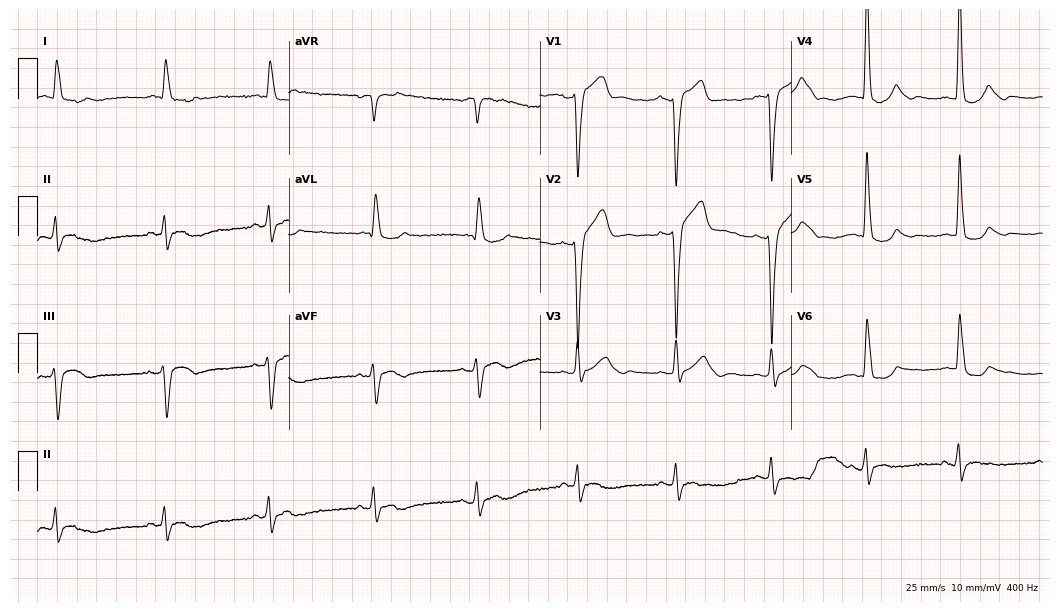
Resting 12-lead electrocardiogram (10.2-second recording at 400 Hz). Patient: a male, 75 years old. The tracing shows left bundle branch block.